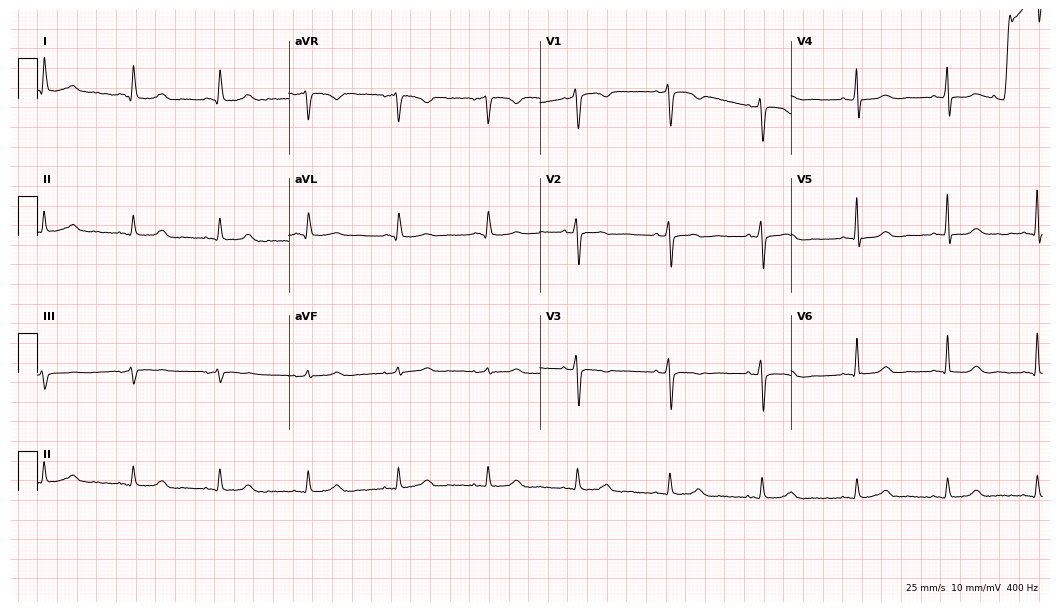
12-lead ECG (10.2-second recording at 400 Hz) from a 70-year-old female patient. Labelled as a normal ECG.